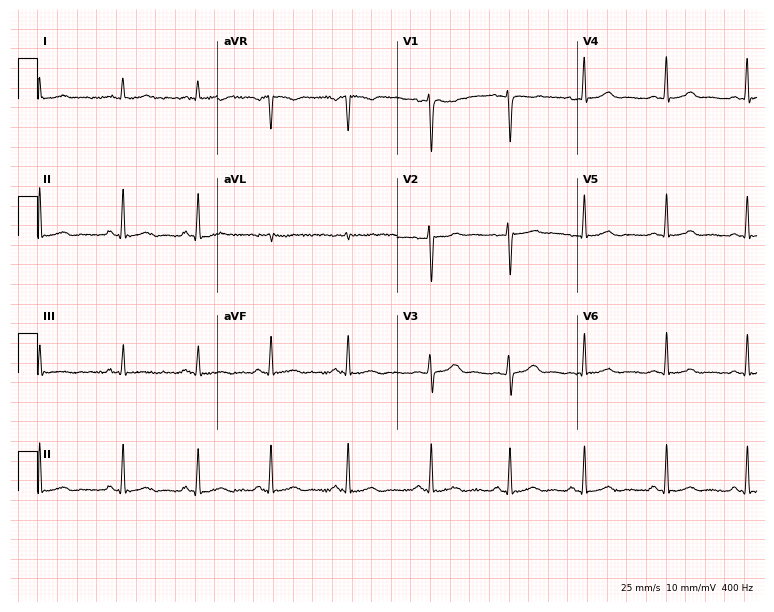
12-lead ECG from a 20-year-old female. Labelled as a normal ECG.